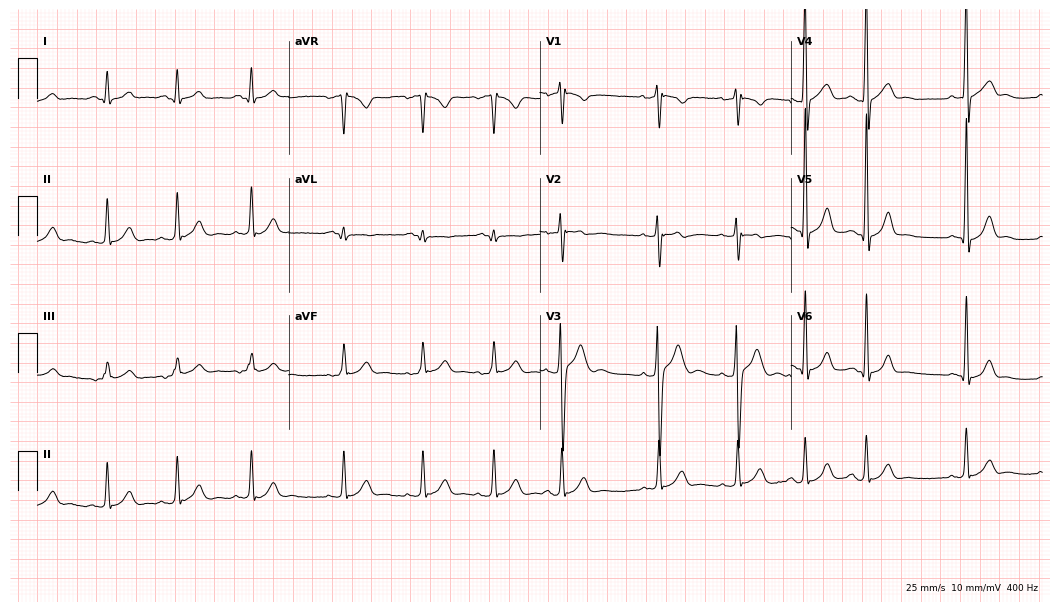
Resting 12-lead electrocardiogram (10.2-second recording at 400 Hz). Patient: a 23-year-old male. Read as a normal ECG.